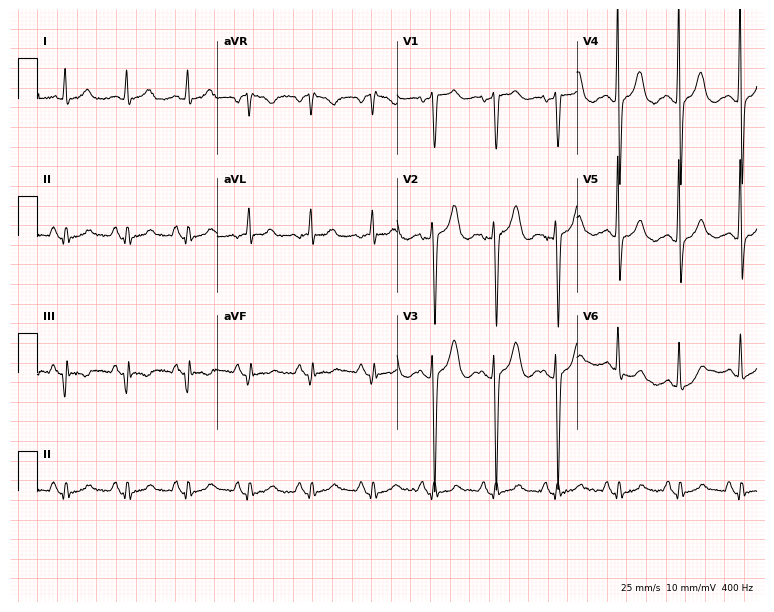
12-lead ECG from a woman, 72 years old. Screened for six findings — first-degree AV block, right bundle branch block, left bundle branch block, sinus bradycardia, atrial fibrillation, sinus tachycardia — none is recorded.